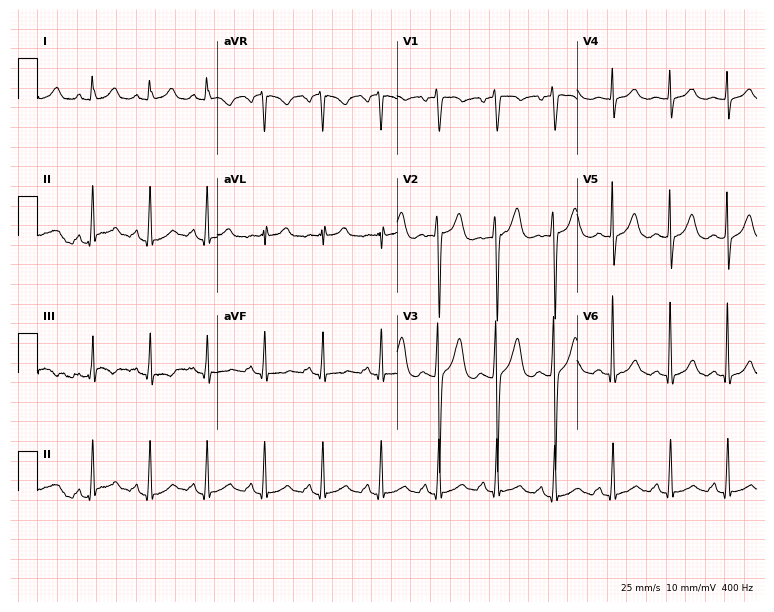
12-lead ECG from a male patient, 40 years old. Screened for six findings — first-degree AV block, right bundle branch block (RBBB), left bundle branch block (LBBB), sinus bradycardia, atrial fibrillation (AF), sinus tachycardia — none is recorded. Findings outside these six are not listed.